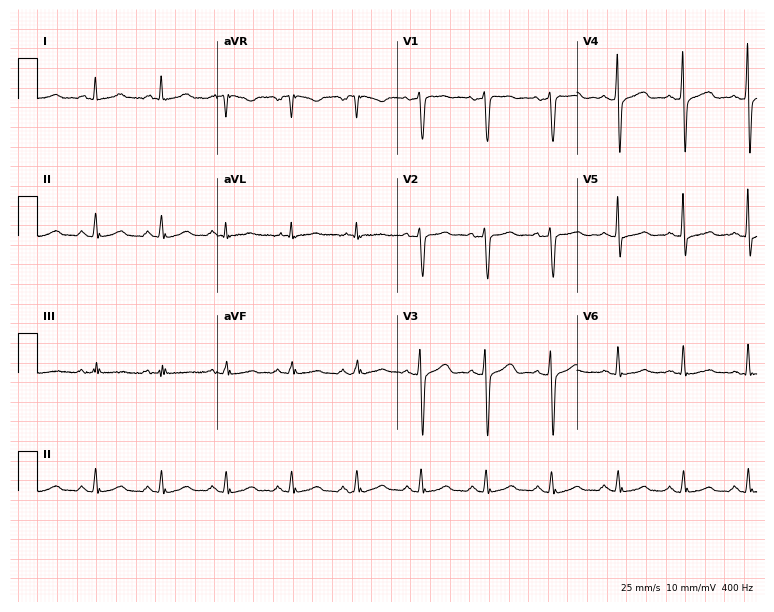
Electrocardiogram, a male, 50 years old. Overall reading on record: normal ECG.